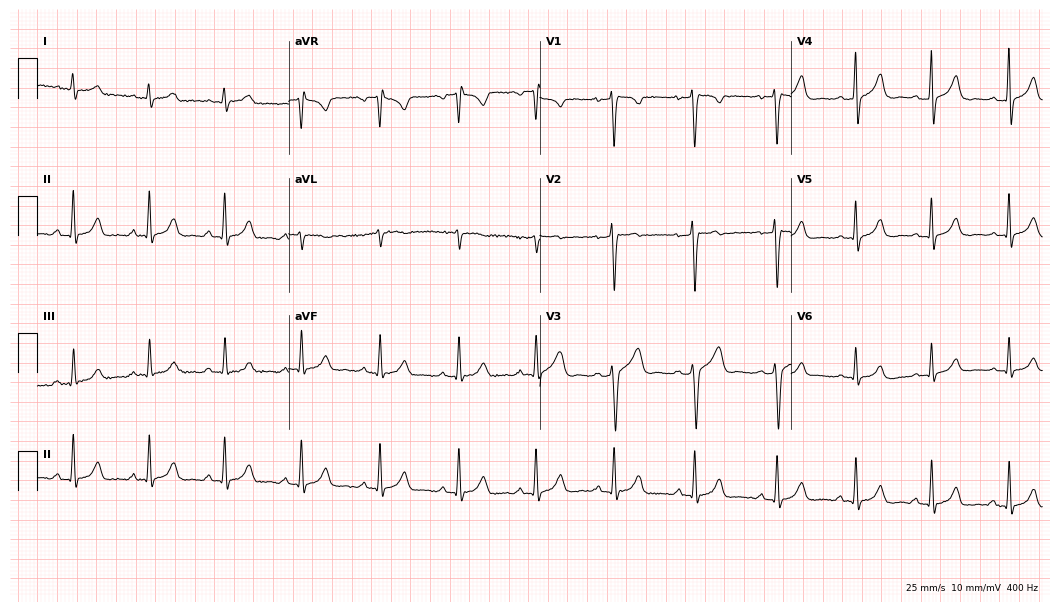
Electrocardiogram (10.2-second recording at 400 Hz), a male, 25 years old. Overall reading on record: normal ECG.